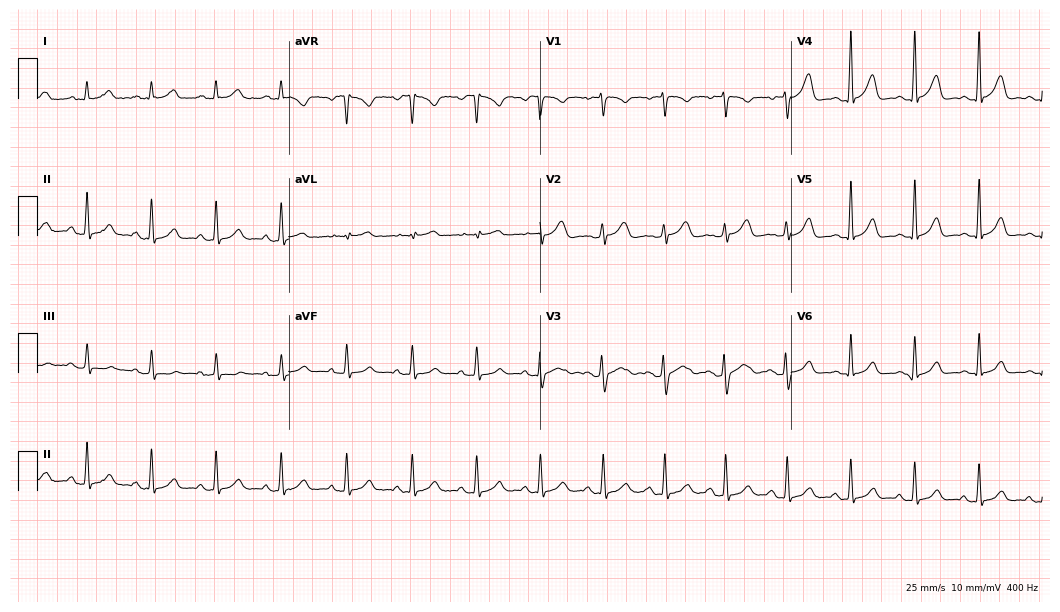
12-lead ECG from a 23-year-old female. Recorded interpretation: within normal limits.